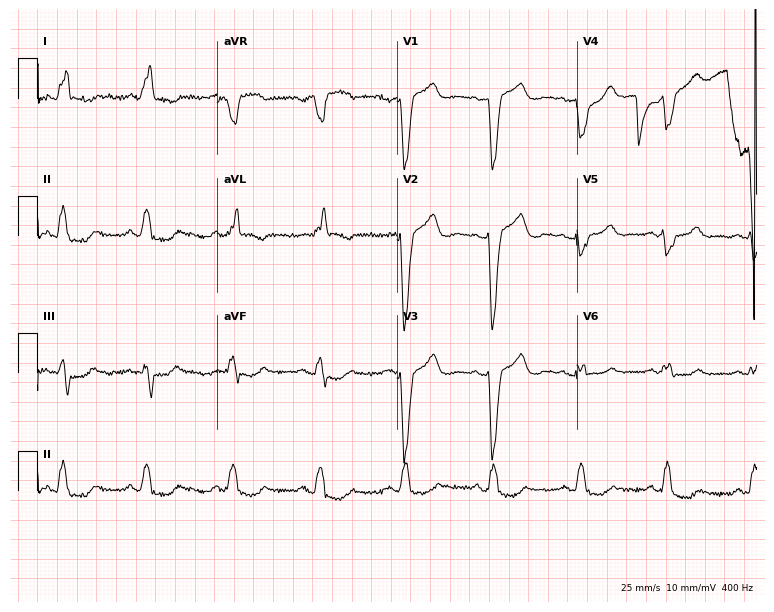
12-lead ECG from a 58-year-old female patient (7.3-second recording at 400 Hz). No first-degree AV block, right bundle branch block (RBBB), left bundle branch block (LBBB), sinus bradycardia, atrial fibrillation (AF) or sinus tachycardia recorded for this tracing. Findings outside these six are not listed.